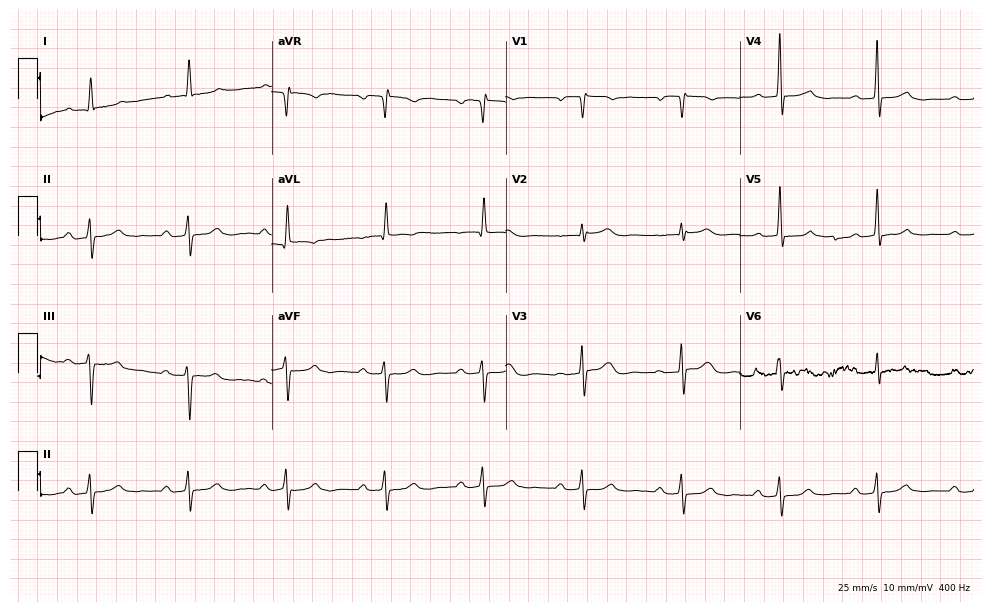
Electrocardiogram, an 81-year-old female patient. Overall reading on record: normal ECG.